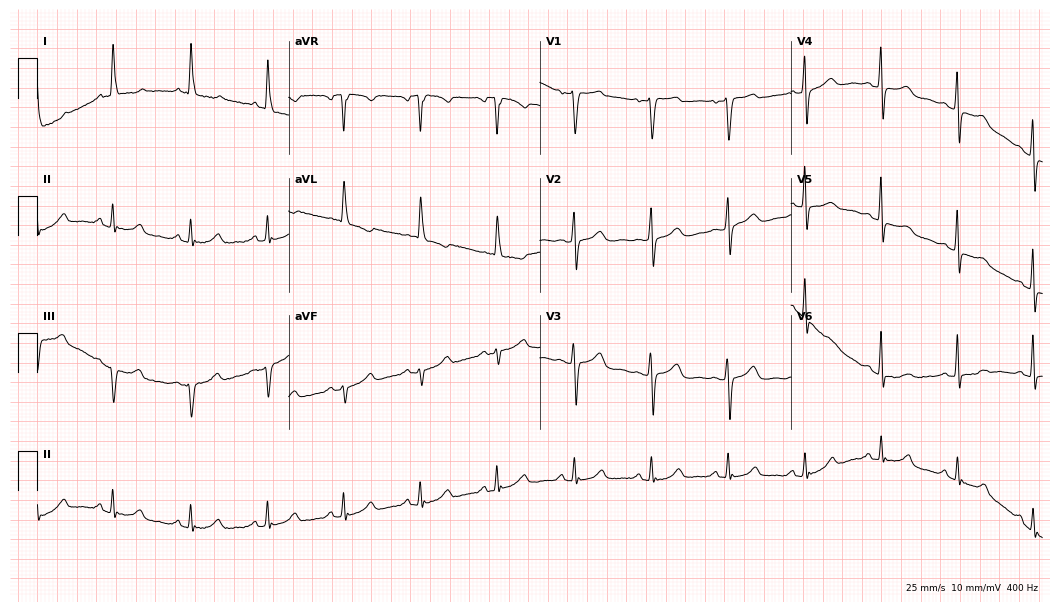
Resting 12-lead electrocardiogram. Patient: a 68-year-old female. None of these six findings is recorded: first-degree AV block, right bundle branch block, left bundle branch block, sinus bradycardia, atrial fibrillation, sinus tachycardia.